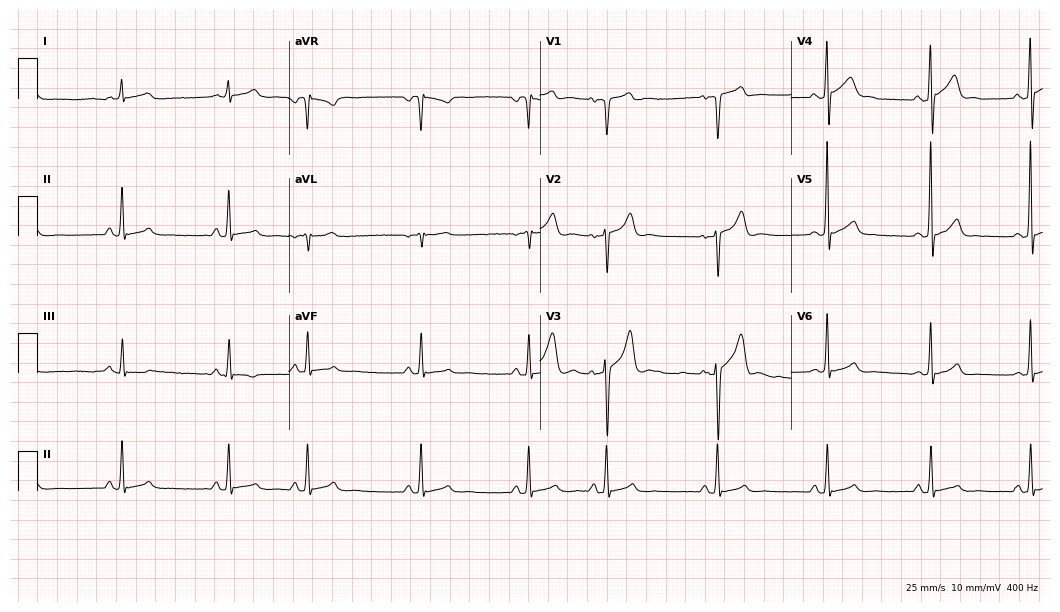
Standard 12-lead ECG recorded from a 20-year-old man (10.2-second recording at 400 Hz). Read as a normal ECG.